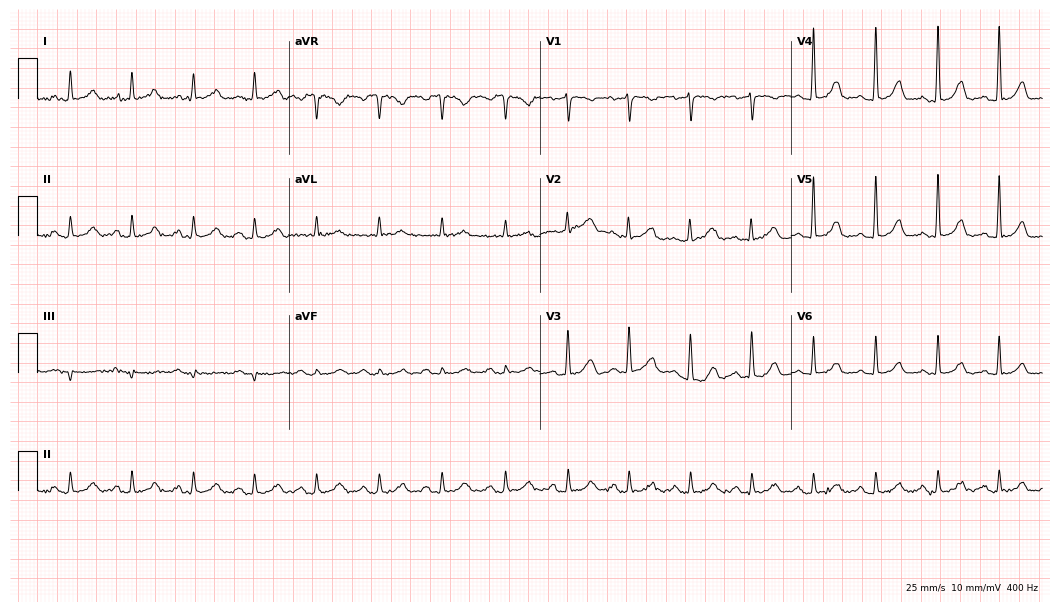
Electrocardiogram, a 65-year-old female patient. Overall reading on record: normal ECG.